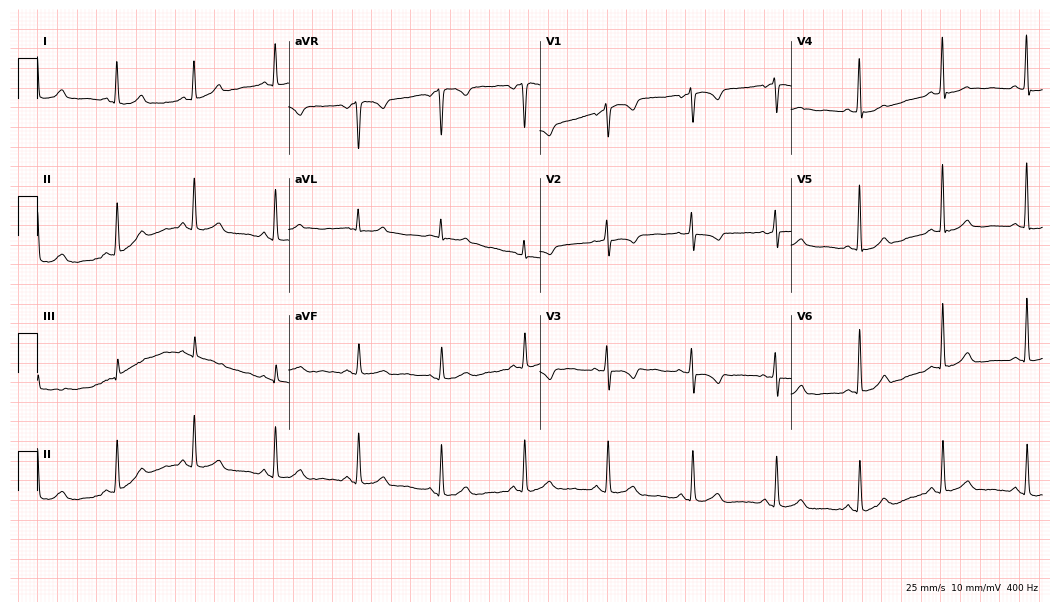
Standard 12-lead ECG recorded from a woman, 60 years old. Read as a normal ECG.